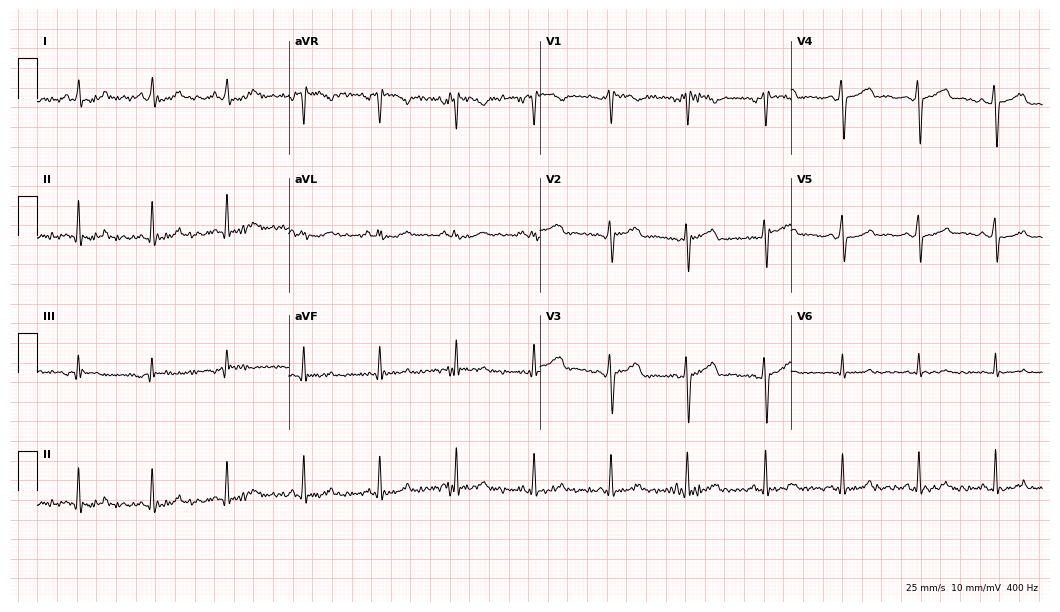
ECG (10.2-second recording at 400 Hz) — a 52-year-old female. Labelled as a normal ECG.